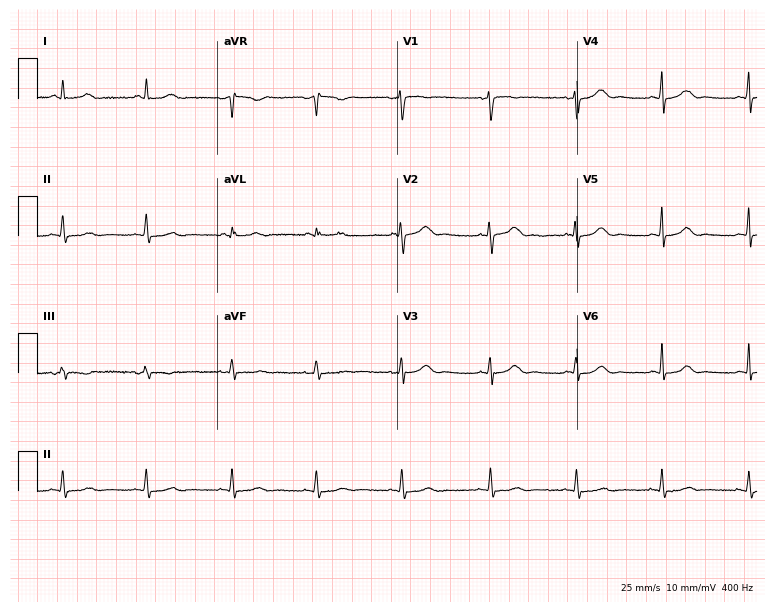
Standard 12-lead ECG recorded from a female patient, 30 years old (7.3-second recording at 400 Hz). None of these six findings is recorded: first-degree AV block, right bundle branch block, left bundle branch block, sinus bradycardia, atrial fibrillation, sinus tachycardia.